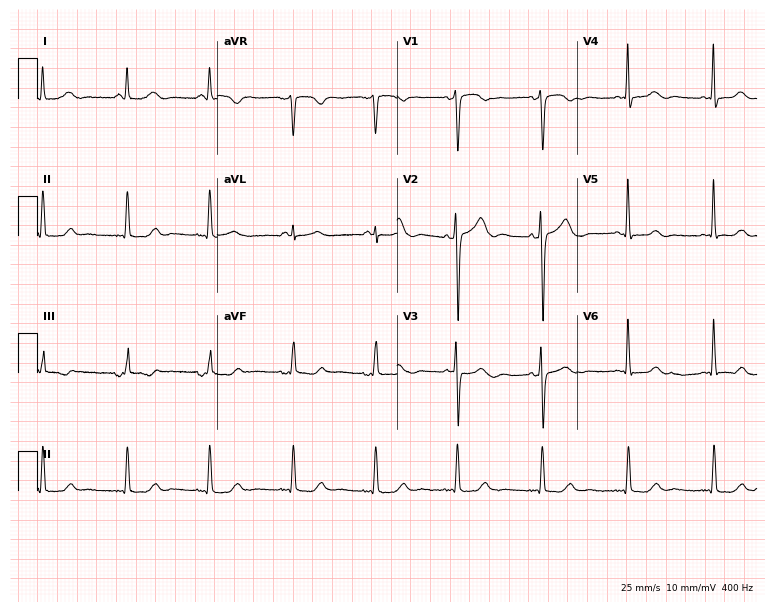
12-lead ECG from a 44-year-old female patient (7.3-second recording at 400 Hz). No first-degree AV block, right bundle branch block, left bundle branch block, sinus bradycardia, atrial fibrillation or sinus tachycardia recorded for this tracing. Findings outside these six are not listed.